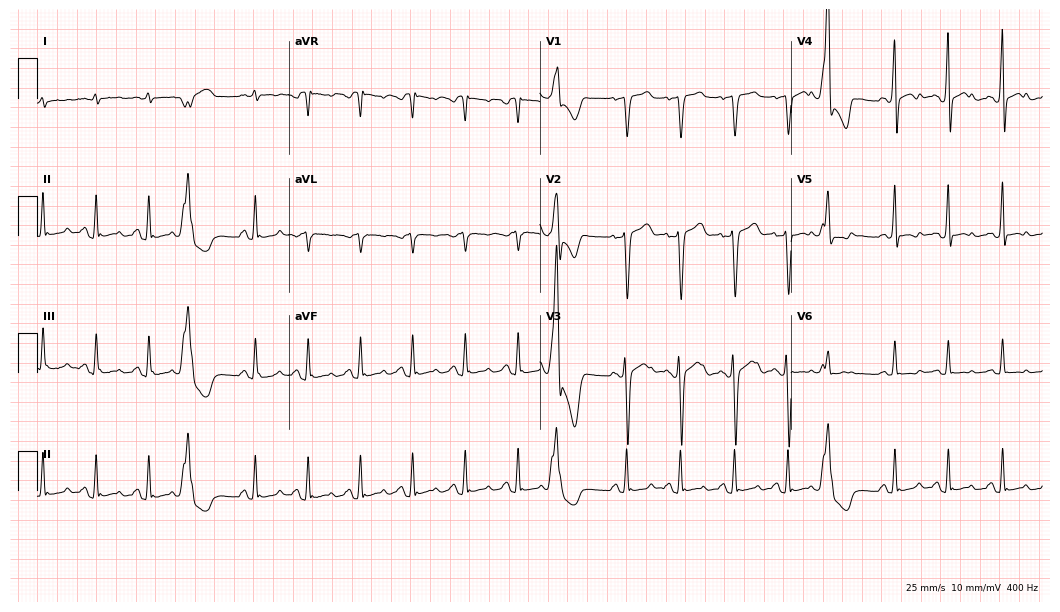
Standard 12-lead ECG recorded from a man, 45 years old. None of these six findings is recorded: first-degree AV block, right bundle branch block (RBBB), left bundle branch block (LBBB), sinus bradycardia, atrial fibrillation (AF), sinus tachycardia. Other findings, if any, are not listed.